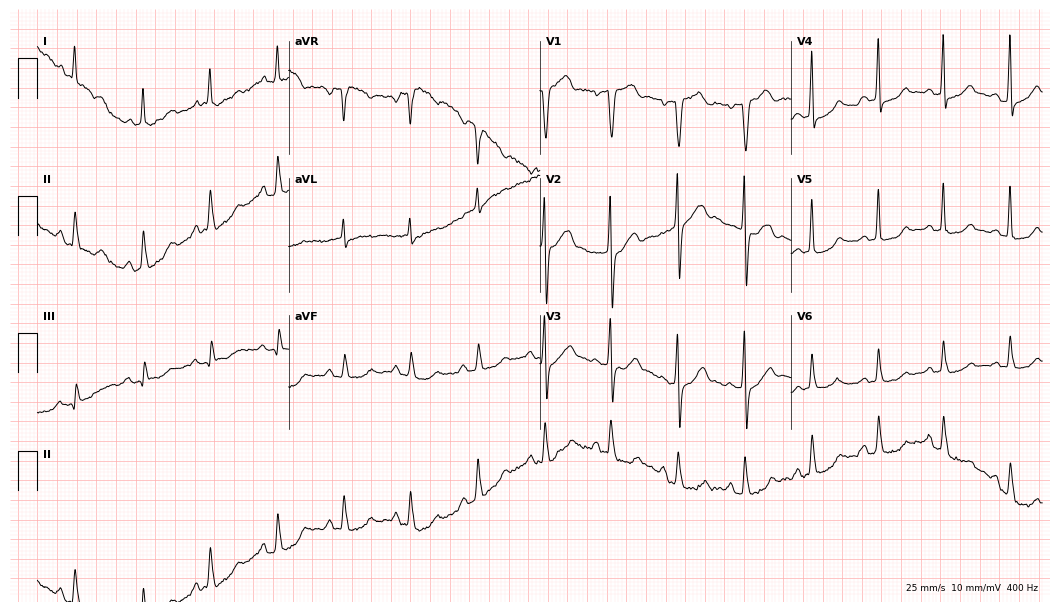
12-lead ECG from an 85-year-old male patient. No first-degree AV block, right bundle branch block, left bundle branch block, sinus bradycardia, atrial fibrillation or sinus tachycardia recorded for this tracing. Only these six findings were labelled.